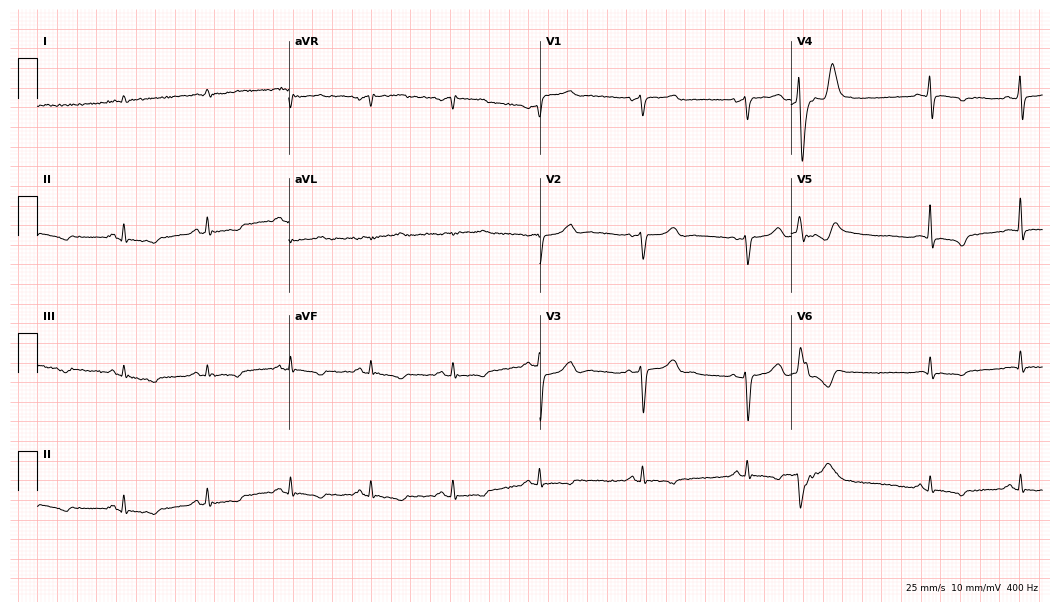
Electrocardiogram, a 62-year-old man. Of the six screened findings (first-degree AV block, right bundle branch block (RBBB), left bundle branch block (LBBB), sinus bradycardia, atrial fibrillation (AF), sinus tachycardia), none is recorded.